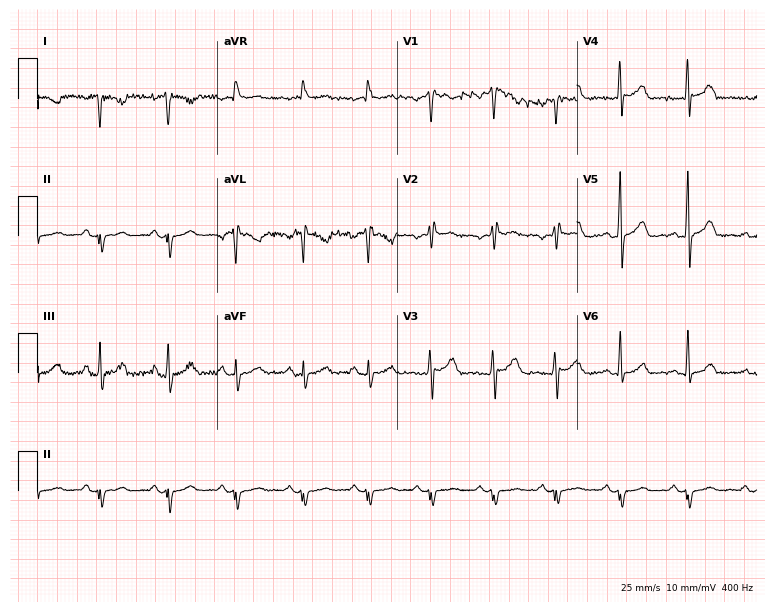
Resting 12-lead electrocardiogram (7.3-second recording at 400 Hz). Patient: a 37-year-old woman. None of these six findings is recorded: first-degree AV block, right bundle branch block, left bundle branch block, sinus bradycardia, atrial fibrillation, sinus tachycardia. Only these six findings were labelled.